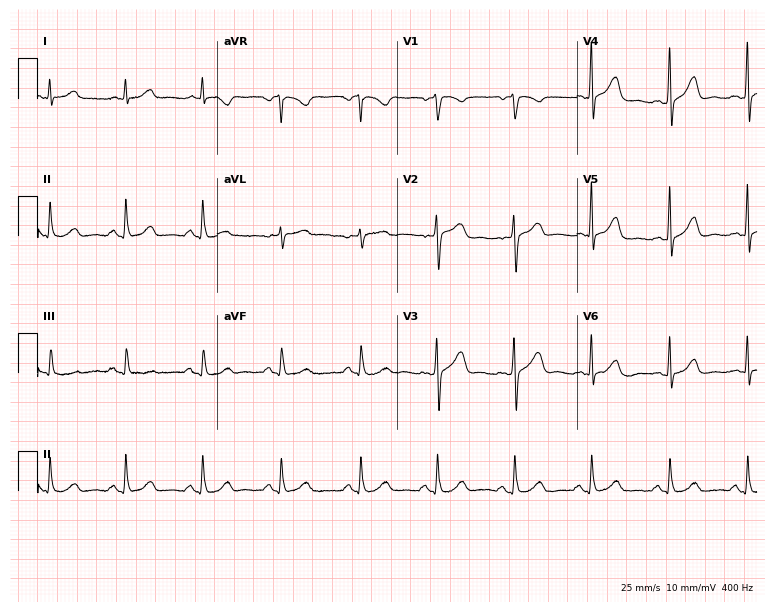
Resting 12-lead electrocardiogram (7.3-second recording at 400 Hz). Patient: a 63-year-old man. None of these six findings is recorded: first-degree AV block, right bundle branch block (RBBB), left bundle branch block (LBBB), sinus bradycardia, atrial fibrillation (AF), sinus tachycardia.